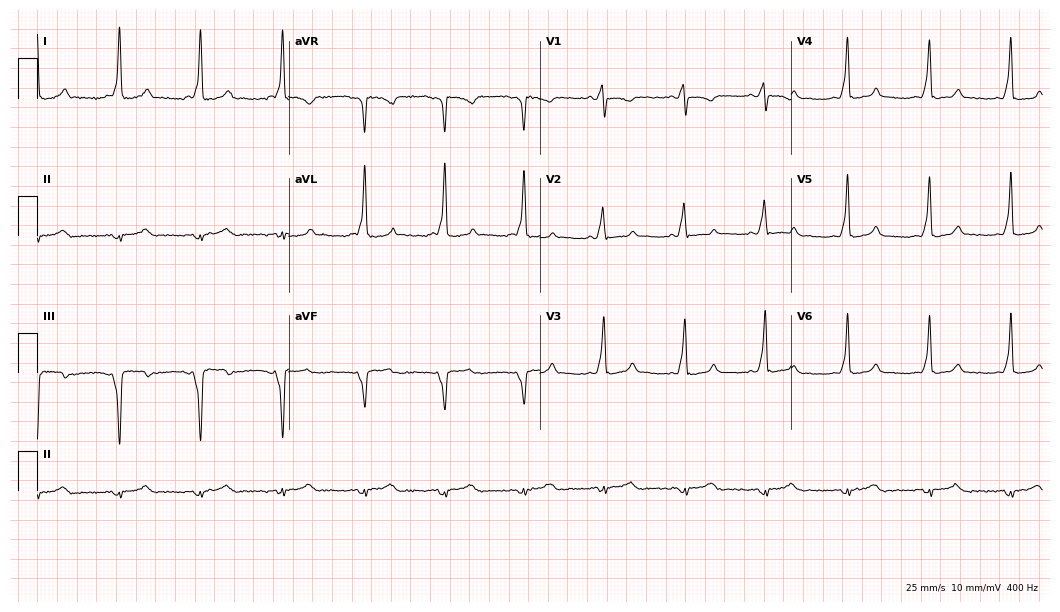
ECG — a woman, 32 years old. Screened for six findings — first-degree AV block, right bundle branch block, left bundle branch block, sinus bradycardia, atrial fibrillation, sinus tachycardia — none is recorded. Only these six findings were labelled.